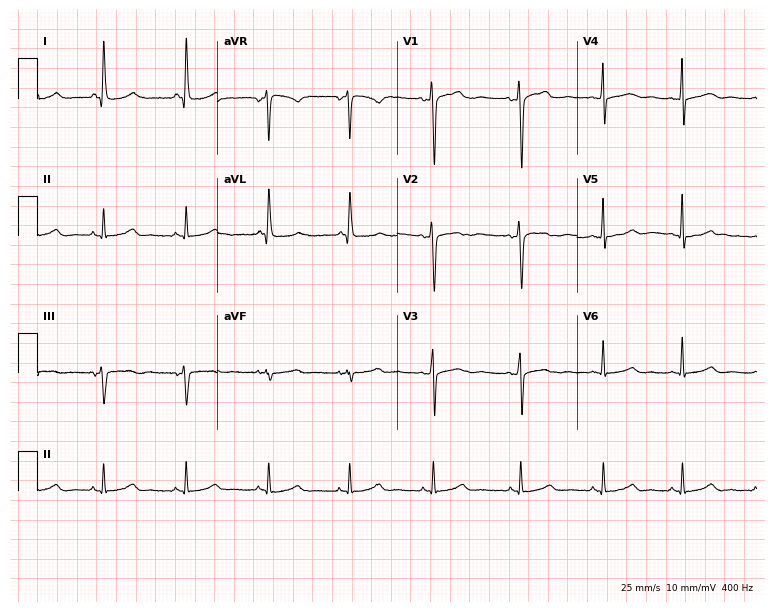
Standard 12-lead ECG recorded from a female patient, 39 years old (7.3-second recording at 400 Hz). None of these six findings is recorded: first-degree AV block, right bundle branch block (RBBB), left bundle branch block (LBBB), sinus bradycardia, atrial fibrillation (AF), sinus tachycardia.